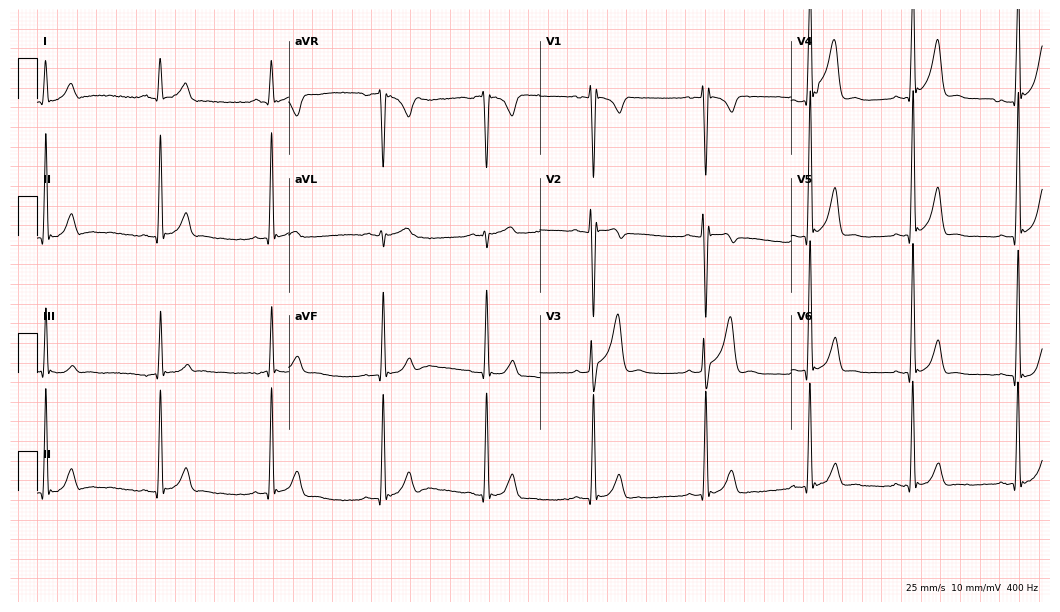
12-lead ECG from a 27-year-old male patient. Labelled as a normal ECG.